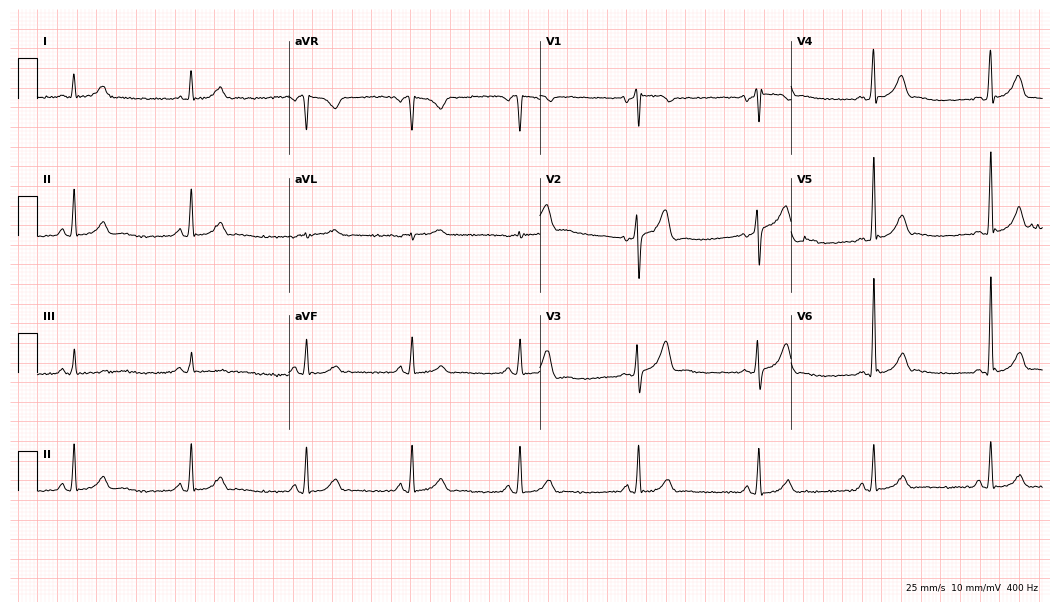
12-lead ECG (10.2-second recording at 400 Hz) from a 45-year-old male. Labelled as a normal ECG.